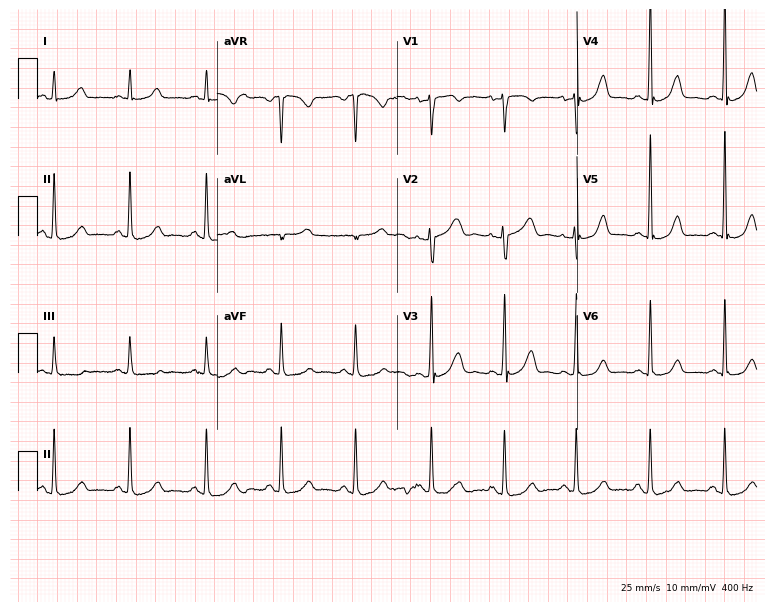
12-lead ECG from a 35-year-old female patient. No first-degree AV block, right bundle branch block, left bundle branch block, sinus bradycardia, atrial fibrillation or sinus tachycardia recorded for this tracing.